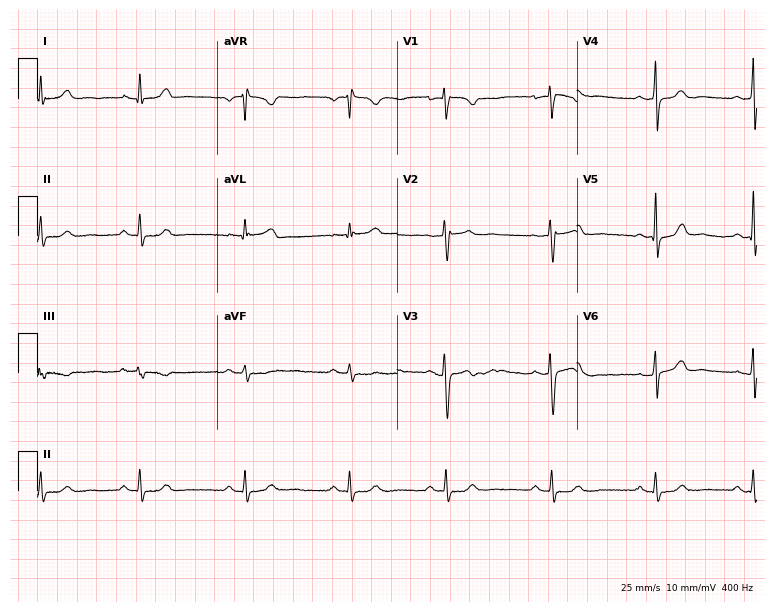
12-lead ECG from a 29-year-old female (7.3-second recording at 400 Hz). No first-degree AV block, right bundle branch block, left bundle branch block, sinus bradycardia, atrial fibrillation or sinus tachycardia recorded for this tracing.